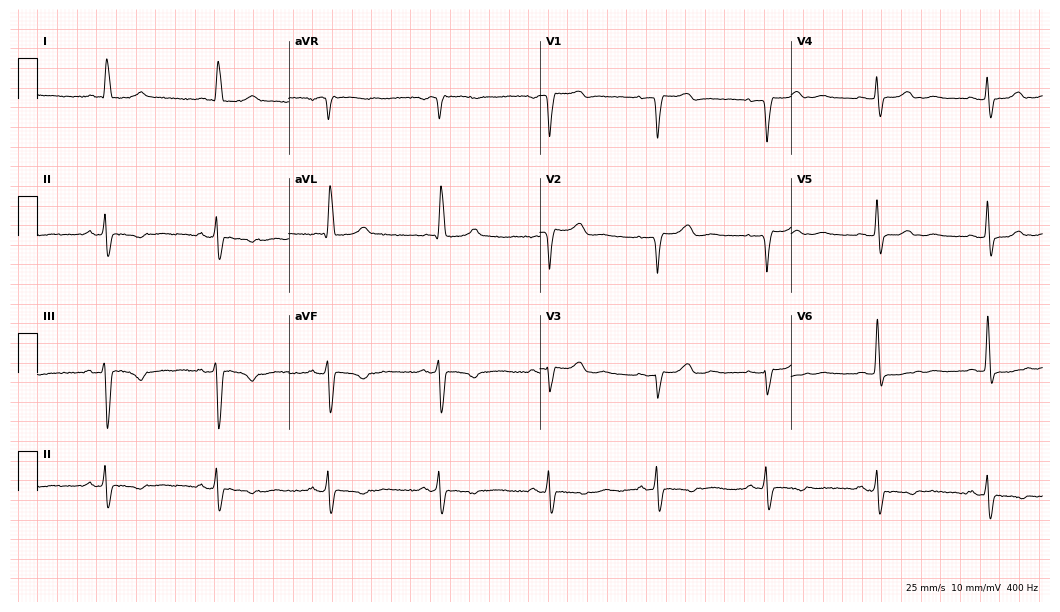
Electrocardiogram (10.2-second recording at 400 Hz), a female patient, 79 years old. Of the six screened findings (first-degree AV block, right bundle branch block, left bundle branch block, sinus bradycardia, atrial fibrillation, sinus tachycardia), none is recorded. Only these six findings were labelled.